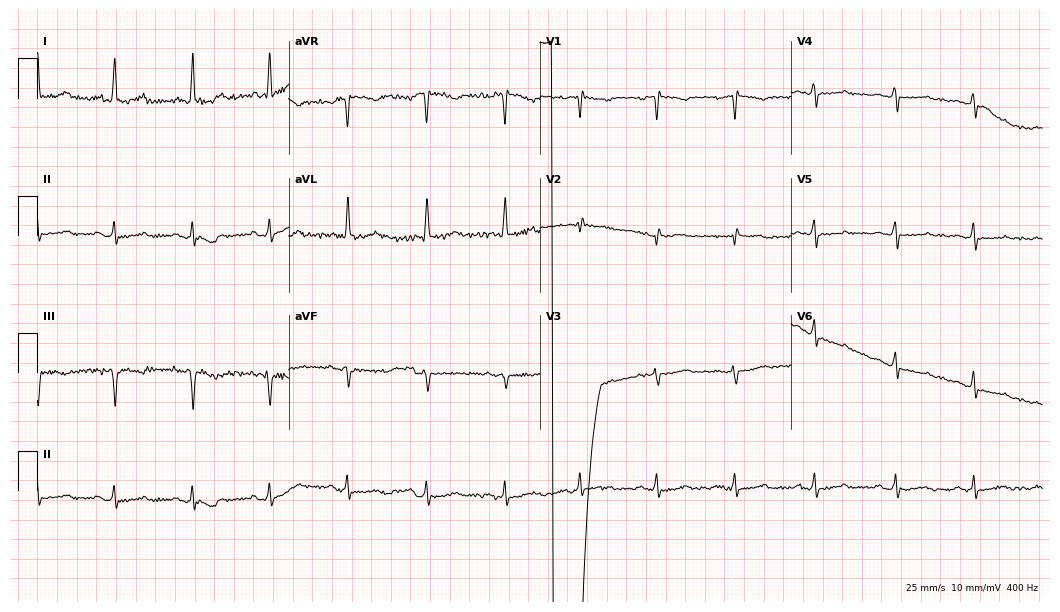
Standard 12-lead ECG recorded from a 56-year-old woman. None of these six findings is recorded: first-degree AV block, right bundle branch block, left bundle branch block, sinus bradycardia, atrial fibrillation, sinus tachycardia.